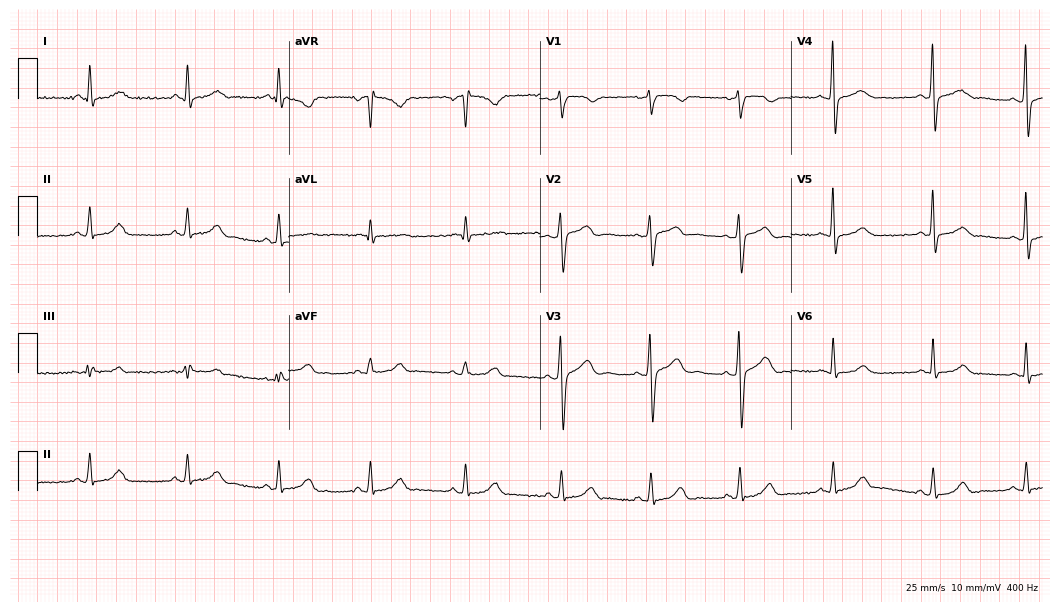
ECG — a 33-year-old woman. Labelled as a normal ECG.